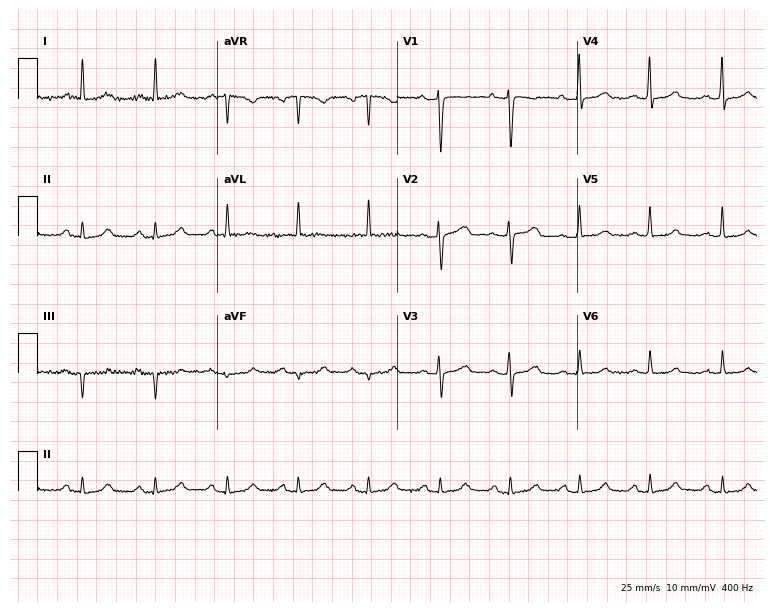
12-lead ECG (7.3-second recording at 400 Hz) from a woman, 70 years old. Screened for six findings — first-degree AV block, right bundle branch block, left bundle branch block, sinus bradycardia, atrial fibrillation, sinus tachycardia — none is recorded.